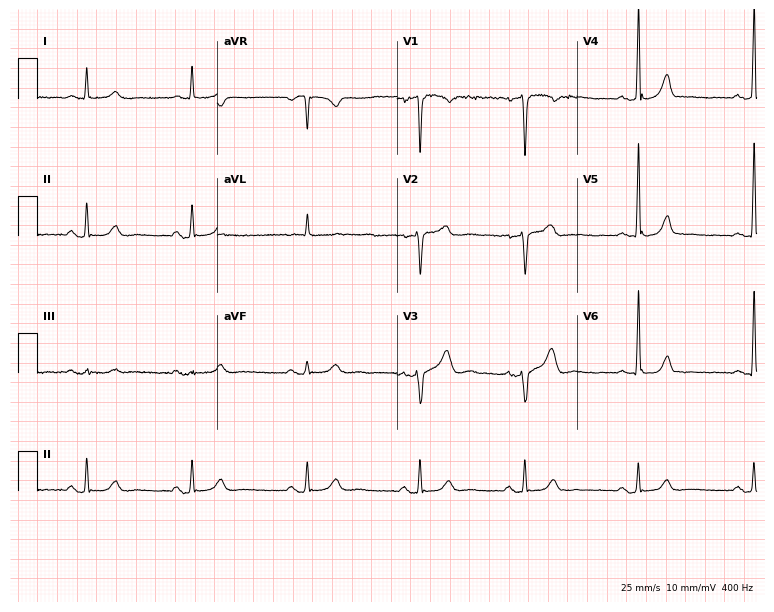
Standard 12-lead ECG recorded from a man, 50 years old. None of these six findings is recorded: first-degree AV block, right bundle branch block, left bundle branch block, sinus bradycardia, atrial fibrillation, sinus tachycardia.